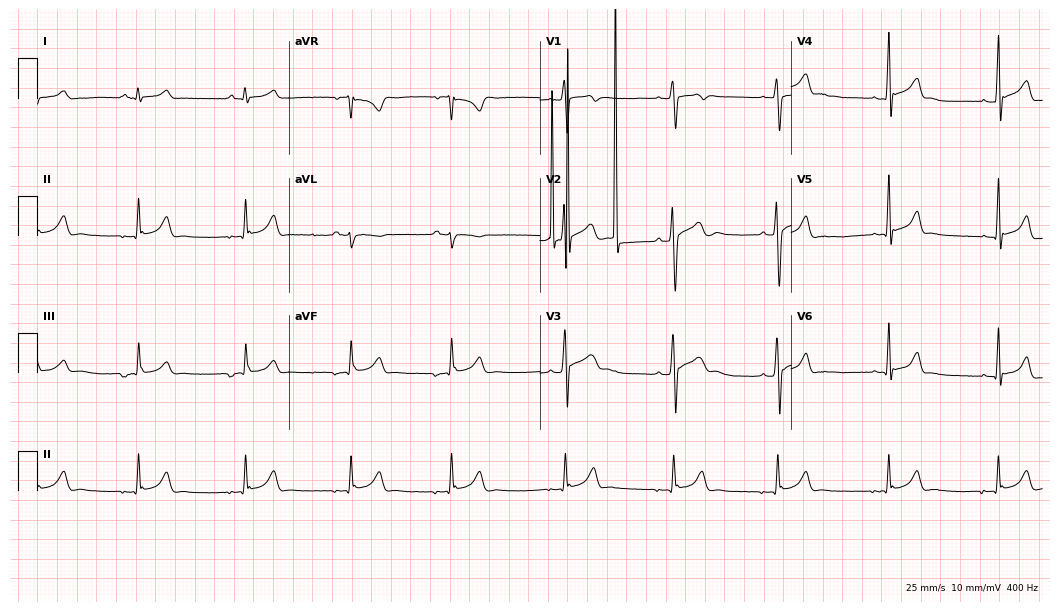
ECG (10.2-second recording at 400 Hz) — a man, 19 years old. Screened for six findings — first-degree AV block, right bundle branch block, left bundle branch block, sinus bradycardia, atrial fibrillation, sinus tachycardia — none is recorded.